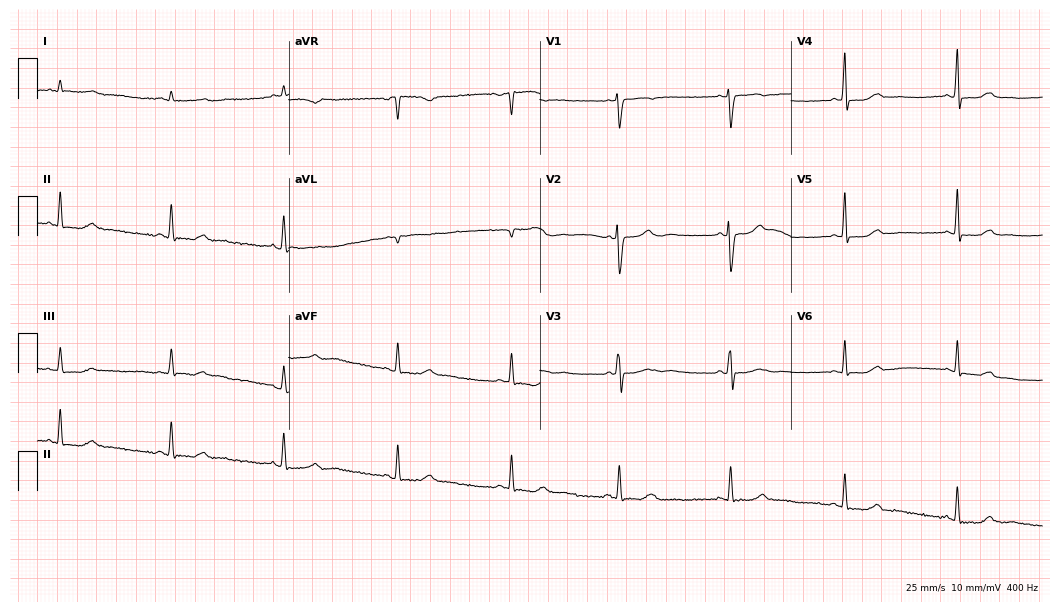
12-lead ECG from a woman, 48 years old. No first-degree AV block, right bundle branch block, left bundle branch block, sinus bradycardia, atrial fibrillation or sinus tachycardia recorded for this tracing. Findings outside these six are not listed.